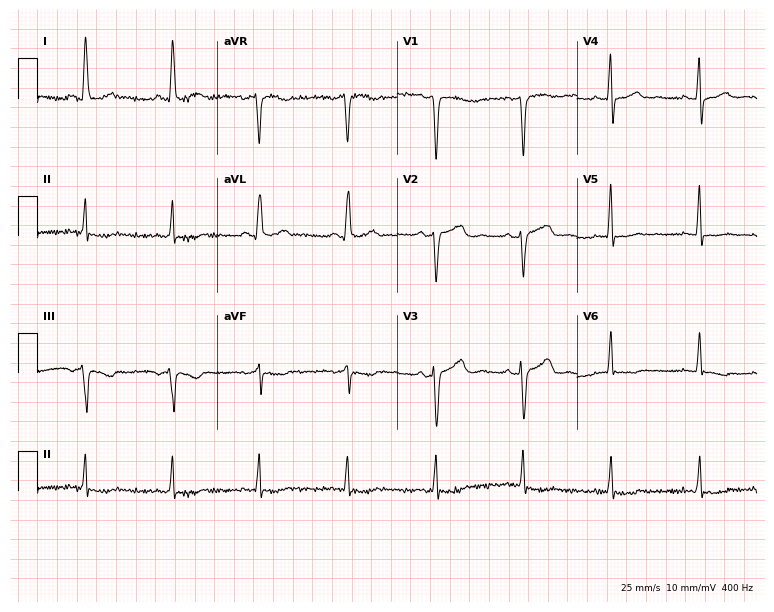
12-lead ECG (7.3-second recording at 400 Hz) from a female, 51 years old. Screened for six findings — first-degree AV block, right bundle branch block, left bundle branch block, sinus bradycardia, atrial fibrillation, sinus tachycardia — none is recorded. Only these six findings were labelled.